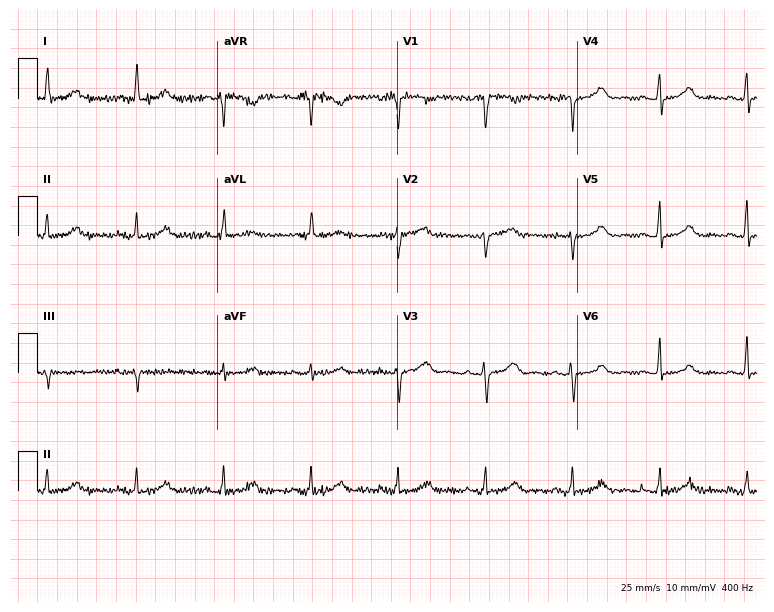
Electrocardiogram (7.3-second recording at 400 Hz), a 79-year-old female patient. Overall reading on record: normal ECG.